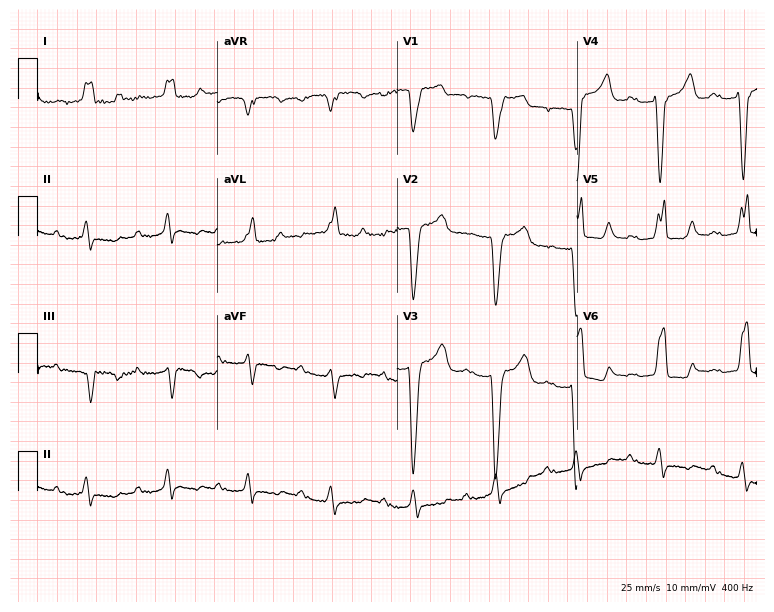
Standard 12-lead ECG recorded from a 71-year-old female. The tracing shows first-degree AV block, left bundle branch block.